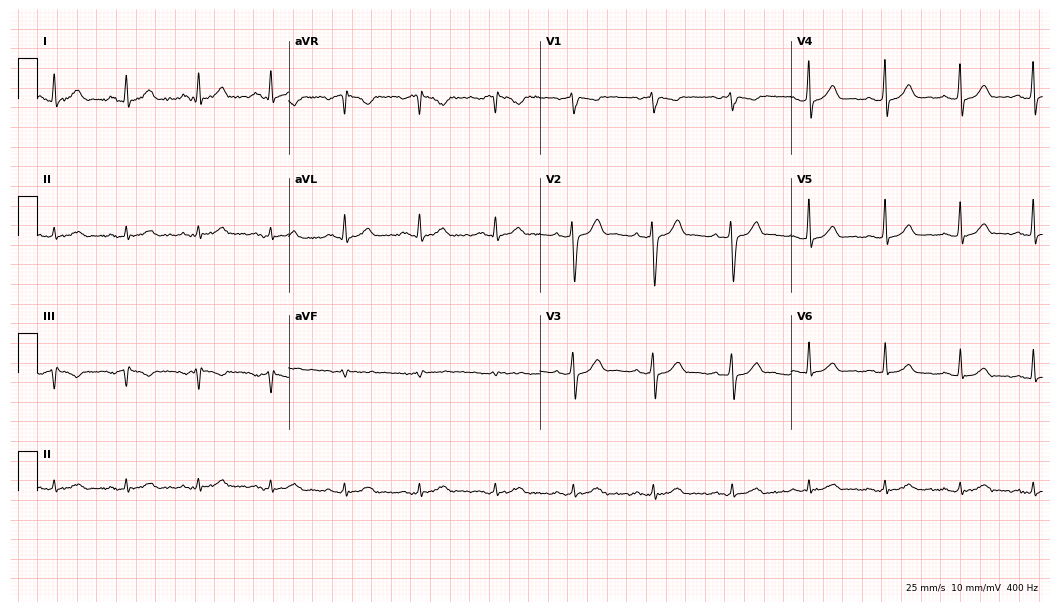
Electrocardiogram, a man, 47 years old. Overall reading on record: normal ECG.